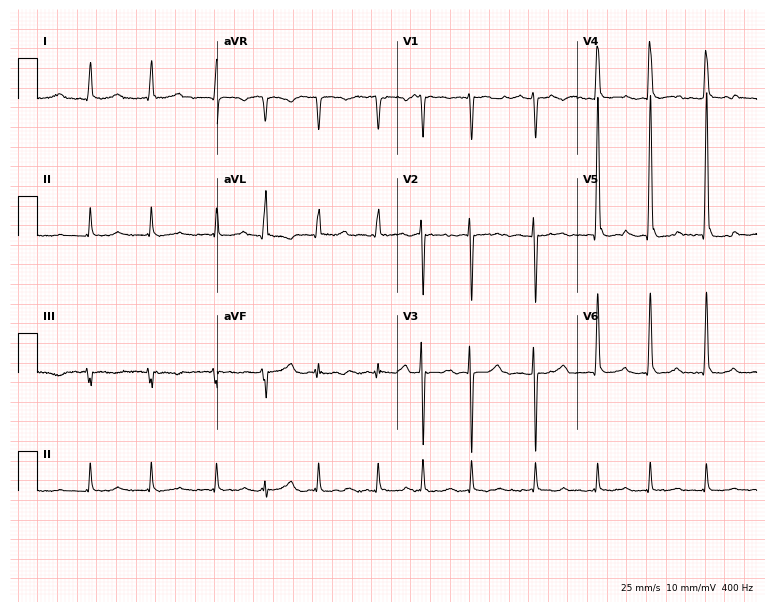
Standard 12-lead ECG recorded from a 69-year-old male. The tracing shows atrial fibrillation.